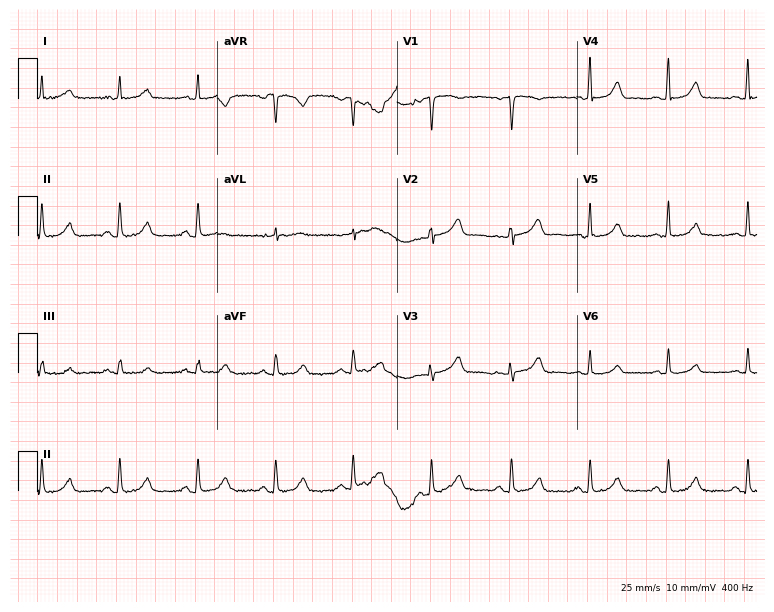
12-lead ECG from a woman, 65 years old (7.3-second recording at 400 Hz). Recorded interpretation: within normal limits.